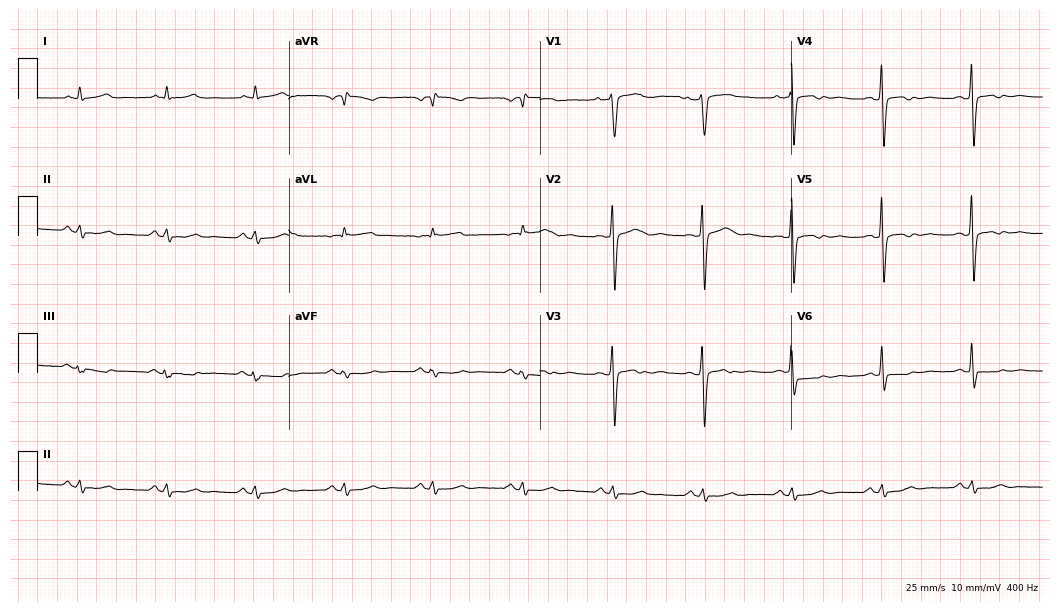
Resting 12-lead electrocardiogram (10.2-second recording at 400 Hz). Patient: a 41-year-old male. None of these six findings is recorded: first-degree AV block, right bundle branch block, left bundle branch block, sinus bradycardia, atrial fibrillation, sinus tachycardia.